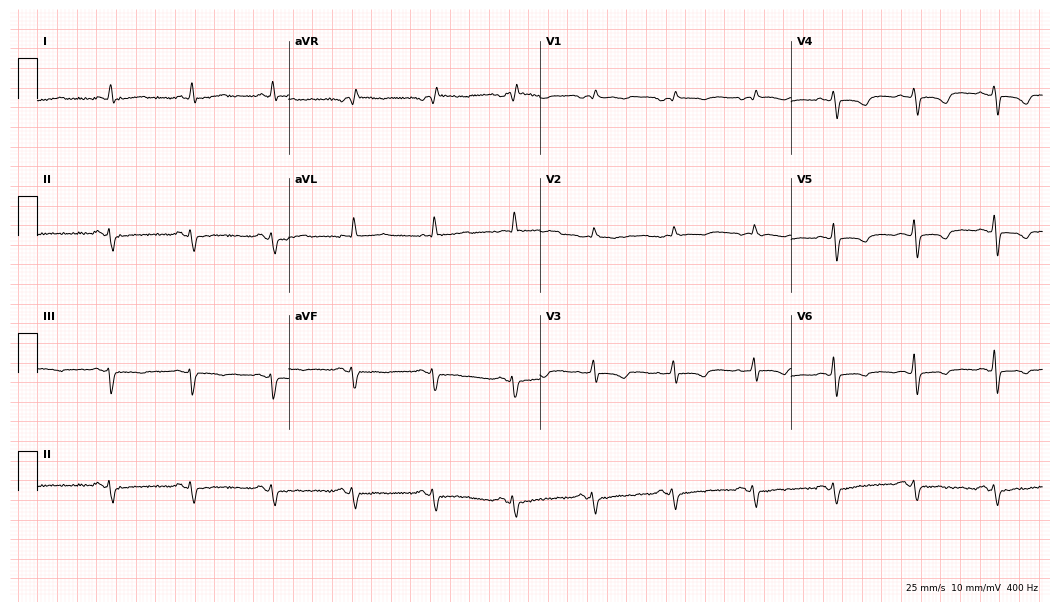
Standard 12-lead ECG recorded from a 75-year-old woman (10.2-second recording at 400 Hz). None of these six findings is recorded: first-degree AV block, right bundle branch block, left bundle branch block, sinus bradycardia, atrial fibrillation, sinus tachycardia. Findings outside these six are not listed.